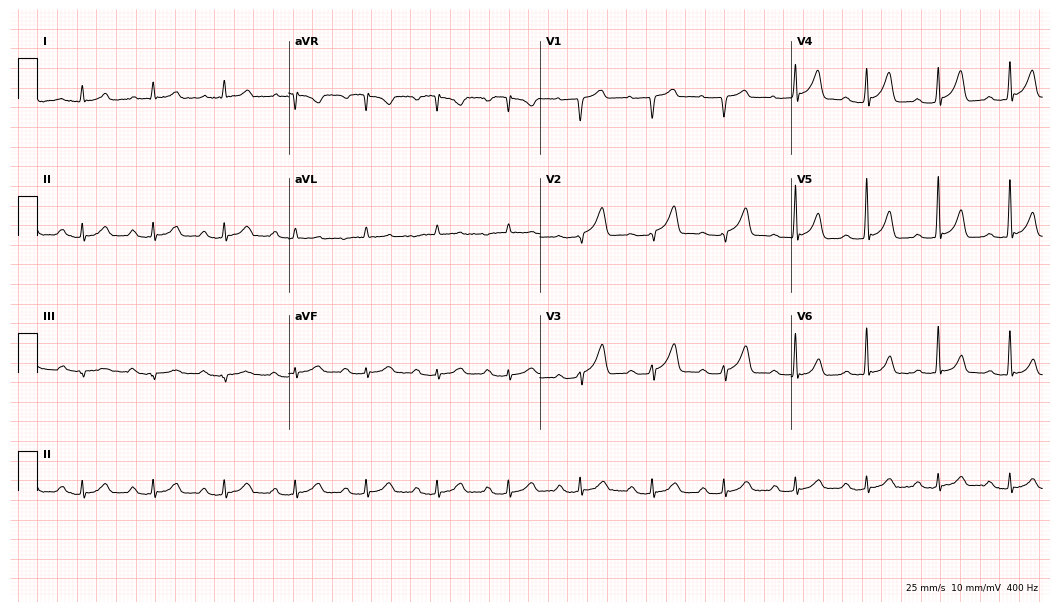
Standard 12-lead ECG recorded from a male patient, 85 years old (10.2-second recording at 400 Hz). The tracing shows first-degree AV block.